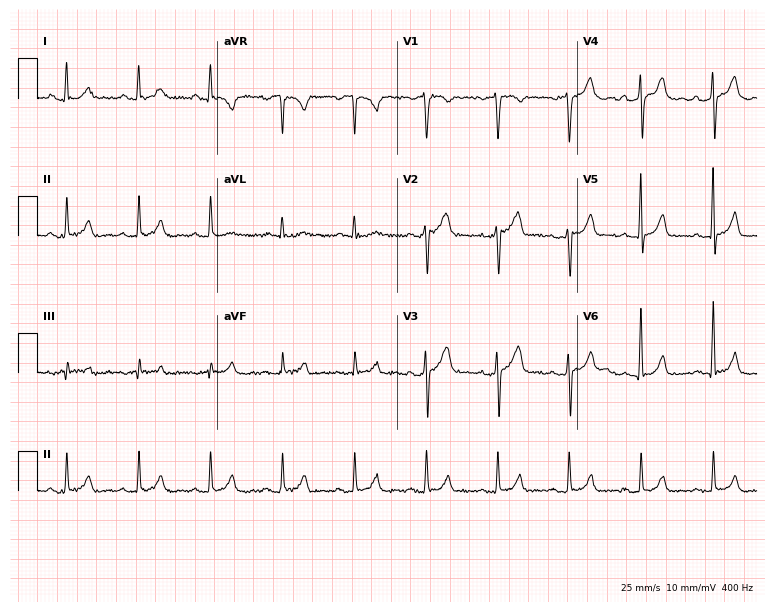
Resting 12-lead electrocardiogram. Patient: a 49-year-old man. Read as a normal ECG.